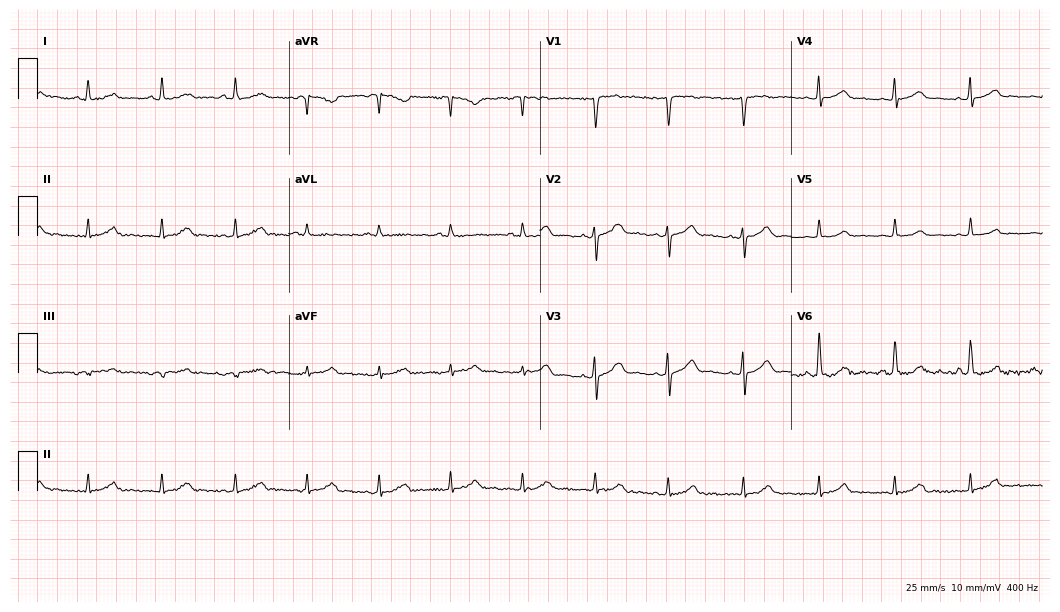
12-lead ECG from a female, 44 years old (10.2-second recording at 400 Hz). No first-degree AV block, right bundle branch block (RBBB), left bundle branch block (LBBB), sinus bradycardia, atrial fibrillation (AF) or sinus tachycardia recorded for this tracing.